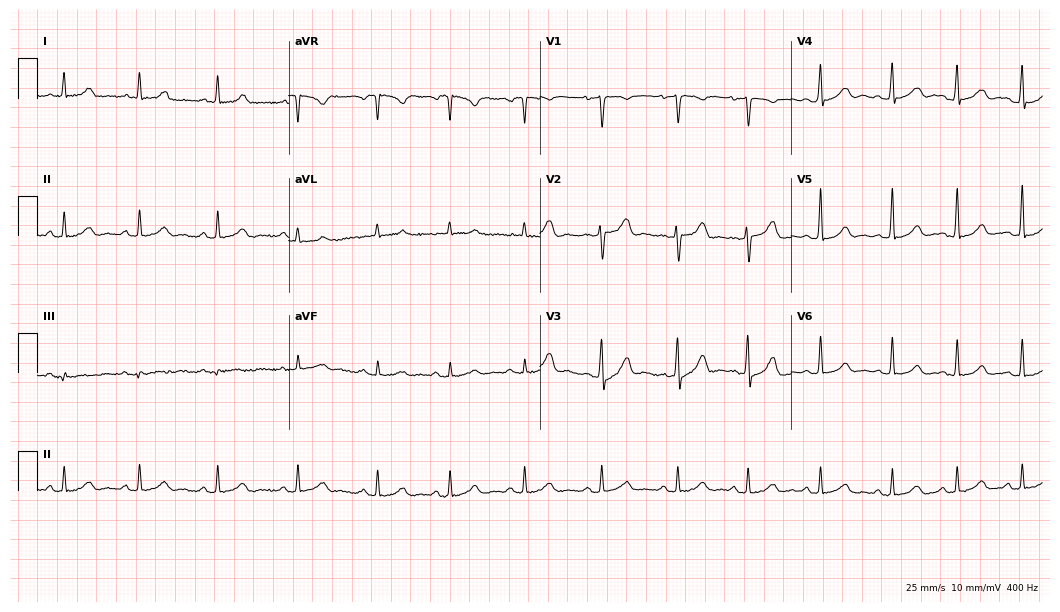
Electrocardiogram, a female patient, 30 years old. Overall reading on record: normal ECG.